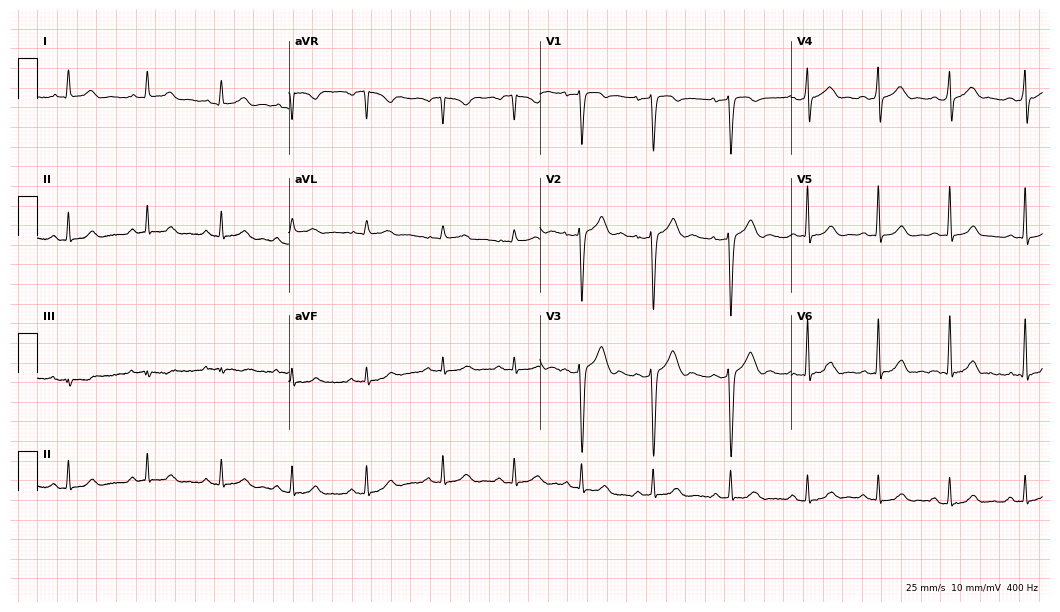
Standard 12-lead ECG recorded from a 20-year-old man (10.2-second recording at 400 Hz). None of these six findings is recorded: first-degree AV block, right bundle branch block, left bundle branch block, sinus bradycardia, atrial fibrillation, sinus tachycardia.